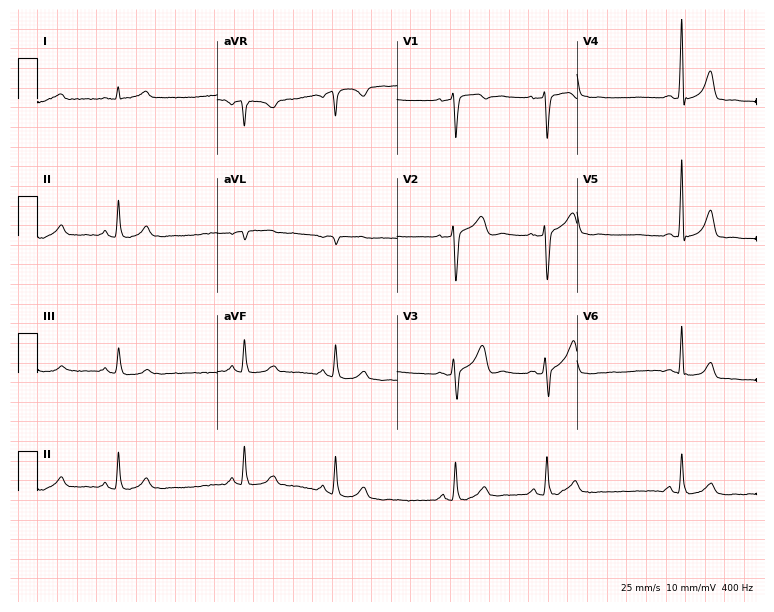
Standard 12-lead ECG recorded from a 48-year-old male. None of these six findings is recorded: first-degree AV block, right bundle branch block, left bundle branch block, sinus bradycardia, atrial fibrillation, sinus tachycardia. Other findings, if any, are not listed.